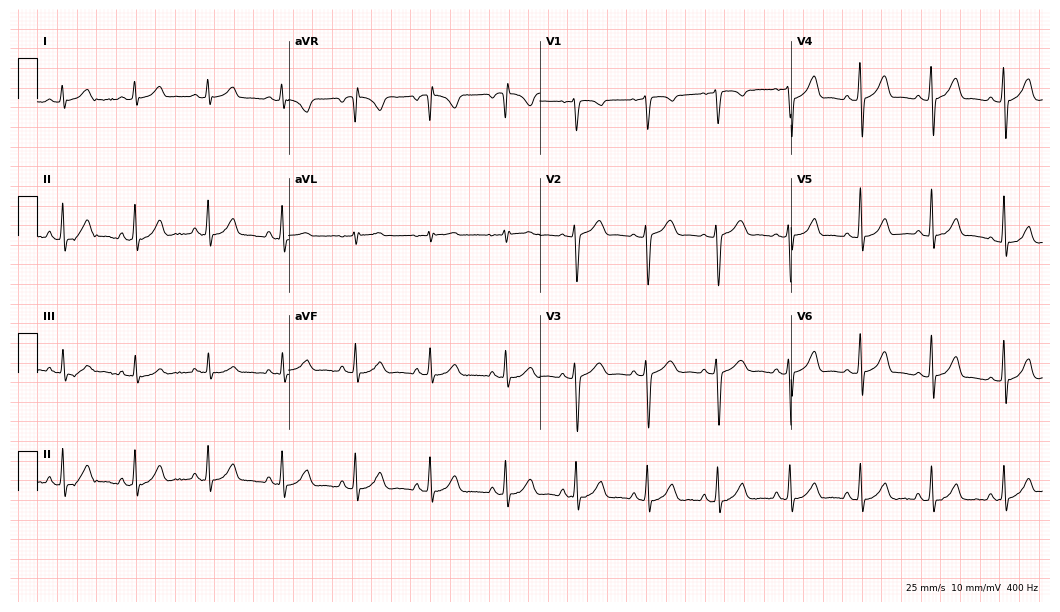
12-lead ECG from a 24-year-old female patient. Labelled as a normal ECG.